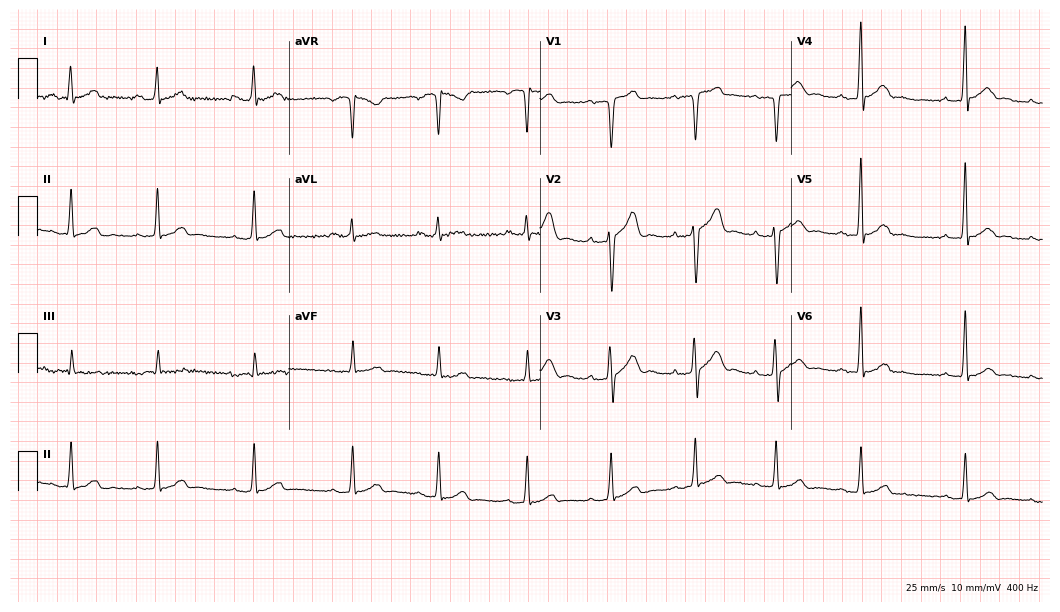
ECG (10.2-second recording at 400 Hz) — a man, 32 years old. Labelled as a normal ECG.